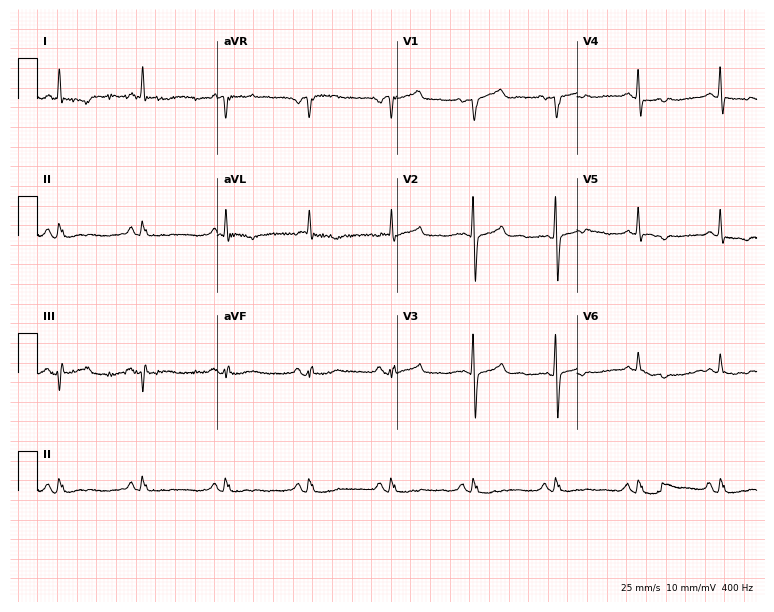
Standard 12-lead ECG recorded from a man, 69 years old. None of these six findings is recorded: first-degree AV block, right bundle branch block (RBBB), left bundle branch block (LBBB), sinus bradycardia, atrial fibrillation (AF), sinus tachycardia. Only these six findings were labelled.